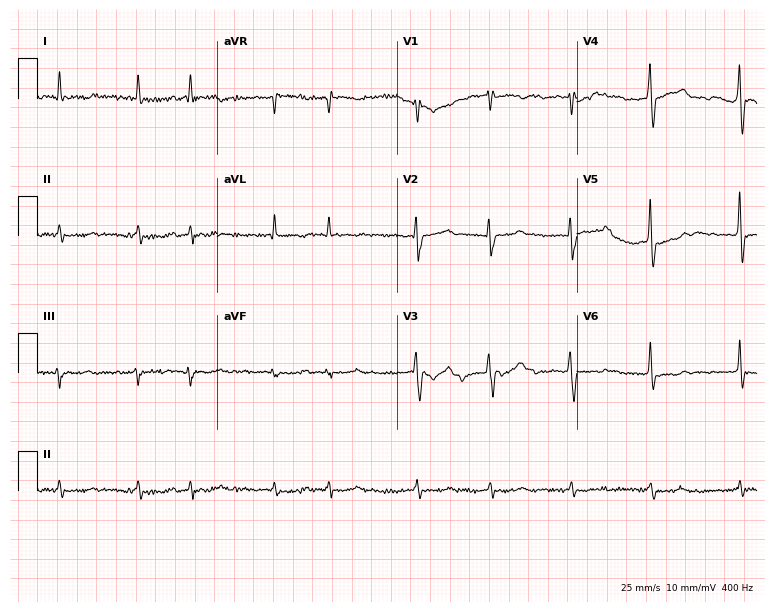
12-lead ECG from a male patient, 72 years old (7.3-second recording at 400 Hz). No first-degree AV block, right bundle branch block, left bundle branch block, sinus bradycardia, atrial fibrillation or sinus tachycardia recorded for this tracing.